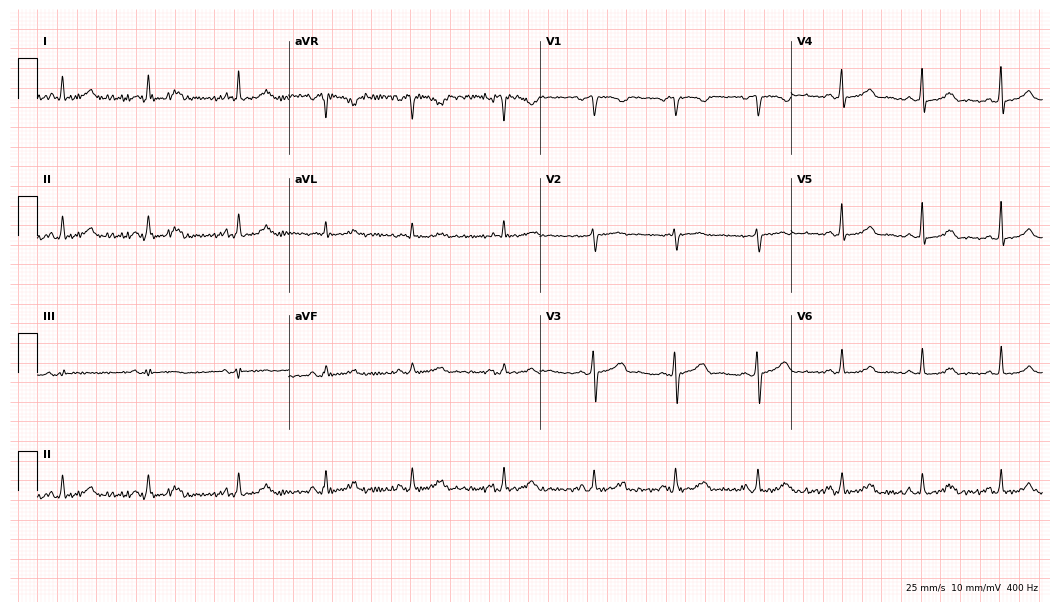
ECG — a female, 34 years old. Labelled as a normal ECG.